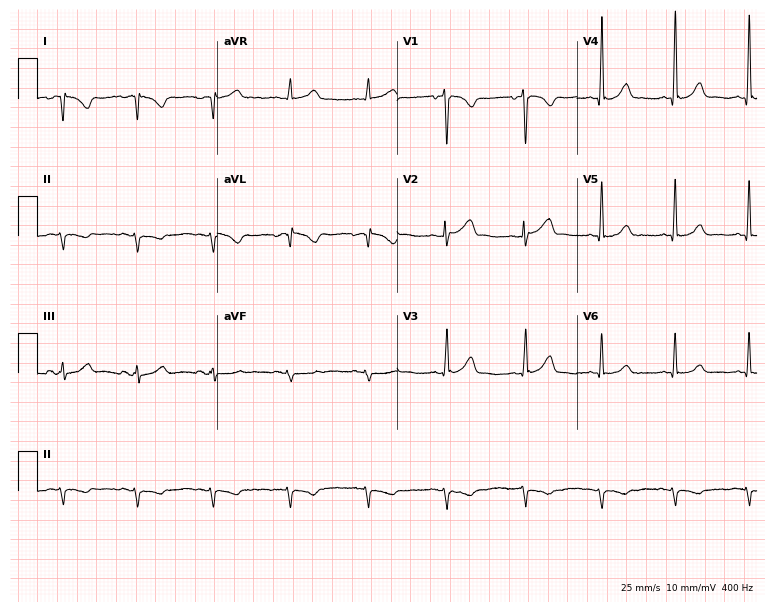
Resting 12-lead electrocardiogram. Patient: a female, 52 years old. None of these six findings is recorded: first-degree AV block, right bundle branch block, left bundle branch block, sinus bradycardia, atrial fibrillation, sinus tachycardia. Only these six findings were labelled.